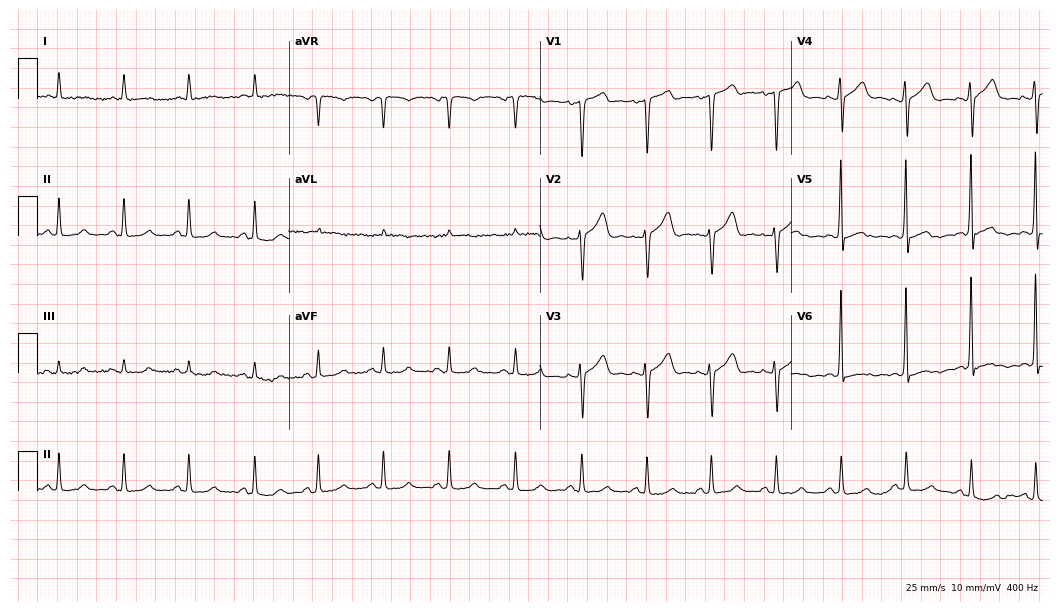
Resting 12-lead electrocardiogram (10.2-second recording at 400 Hz). Patient: a male, 72 years old. Read as a normal ECG.